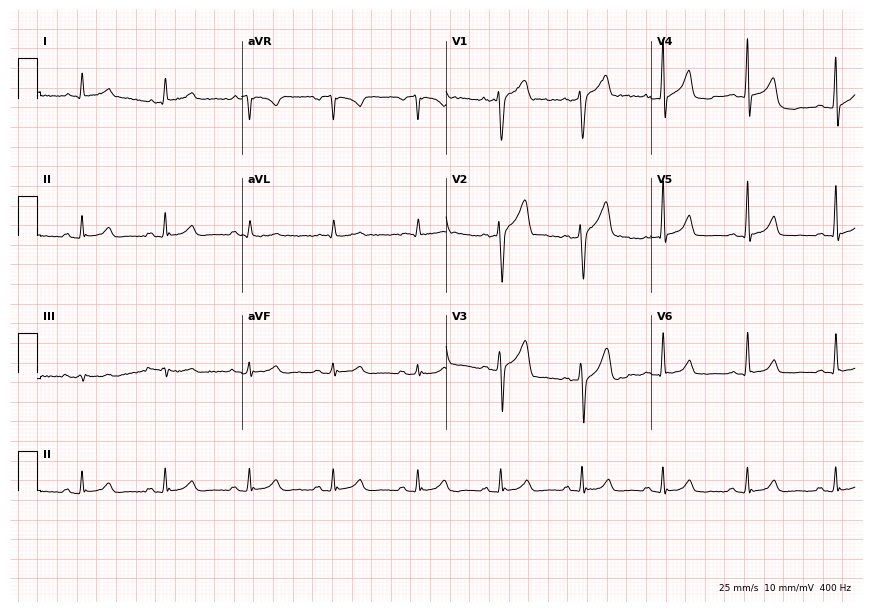
Standard 12-lead ECG recorded from a 53-year-old male. Read as a normal ECG.